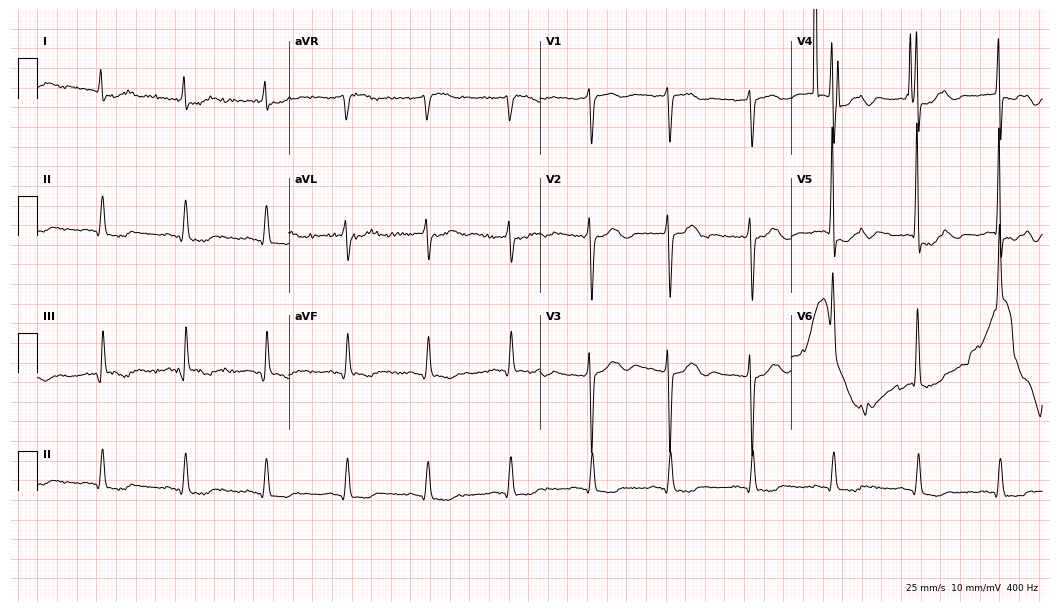
12-lead ECG (10.2-second recording at 400 Hz) from a female patient, 77 years old. Screened for six findings — first-degree AV block, right bundle branch block, left bundle branch block, sinus bradycardia, atrial fibrillation, sinus tachycardia — none is recorded. Only these six findings were labelled.